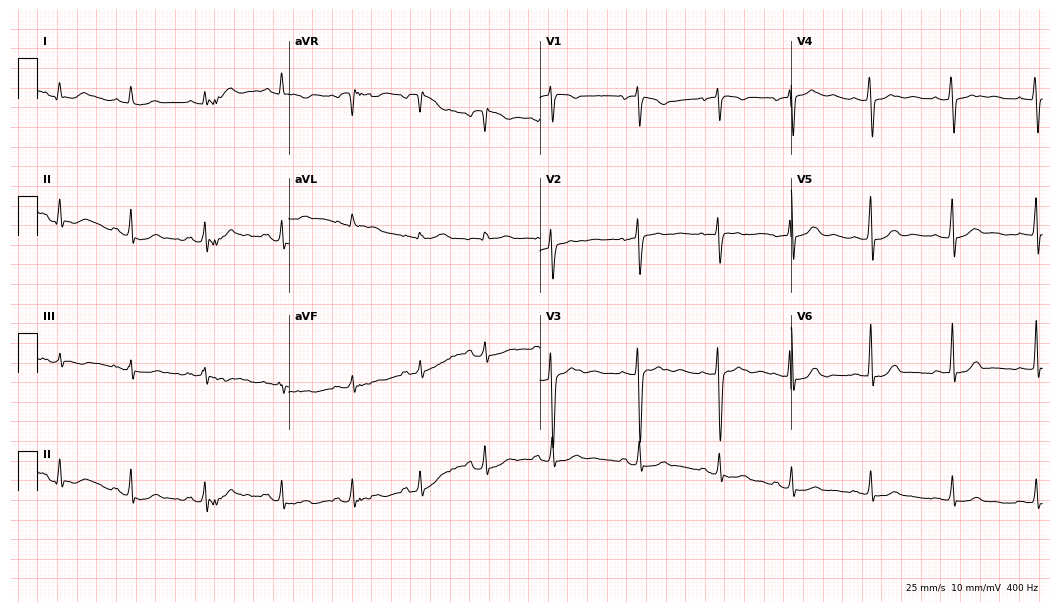
12-lead ECG (10.2-second recording at 400 Hz) from a female patient, 27 years old. Screened for six findings — first-degree AV block, right bundle branch block, left bundle branch block, sinus bradycardia, atrial fibrillation, sinus tachycardia — none is recorded. Other findings, if any, are not listed.